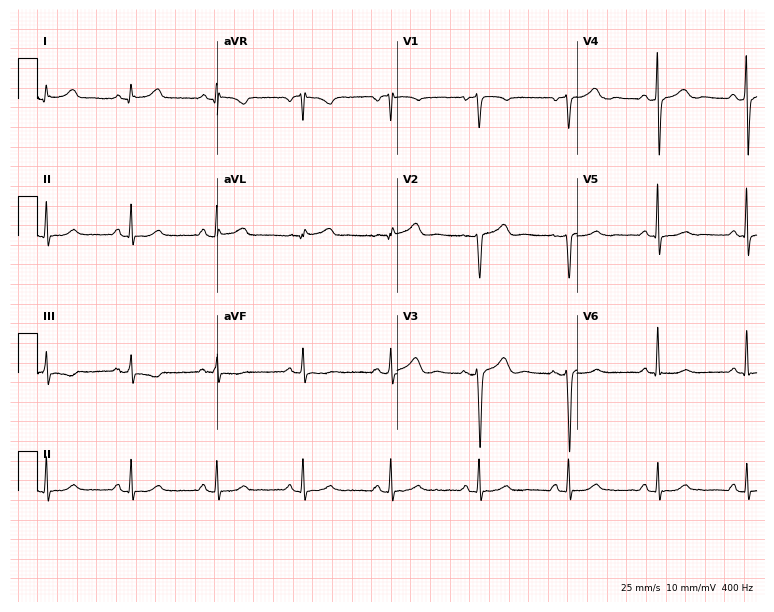
12-lead ECG from a female, 67 years old (7.3-second recording at 400 Hz). No first-degree AV block, right bundle branch block, left bundle branch block, sinus bradycardia, atrial fibrillation or sinus tachycardia recorded for this tracing.